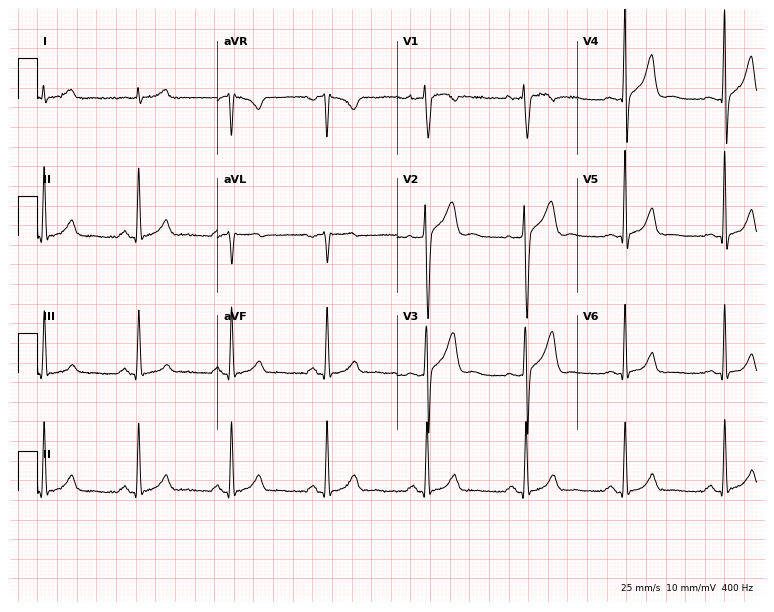
Electrocardiogram (7.3-second recording at 400 Hz), a 44-year-old male patient. Overall reading on record: normal ECG.